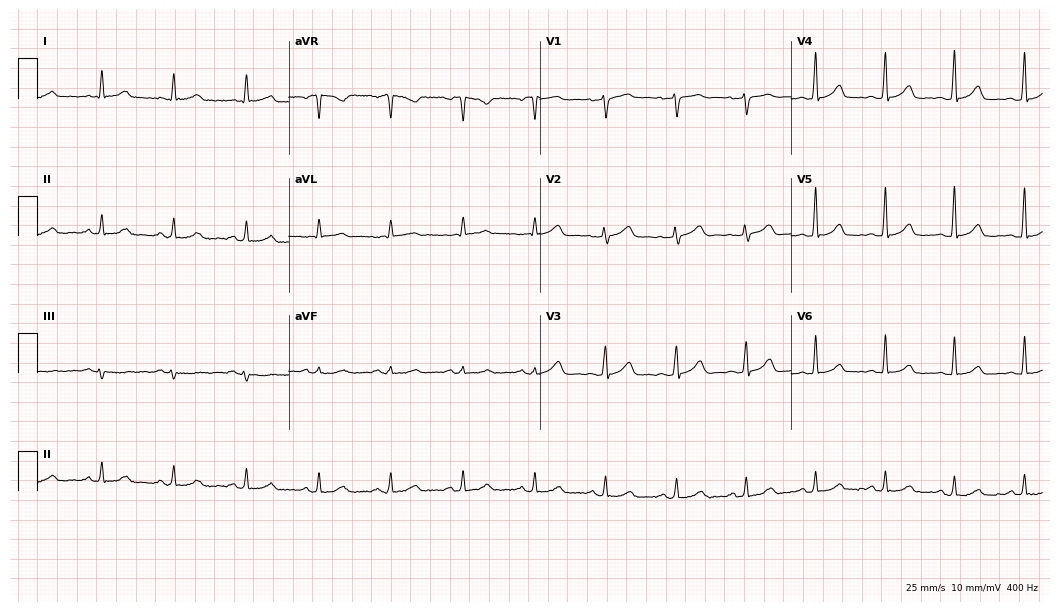
ECG (10.2-second recording at 400 Hz) — a woman, 46 years old. Labelled as a normal ECG.